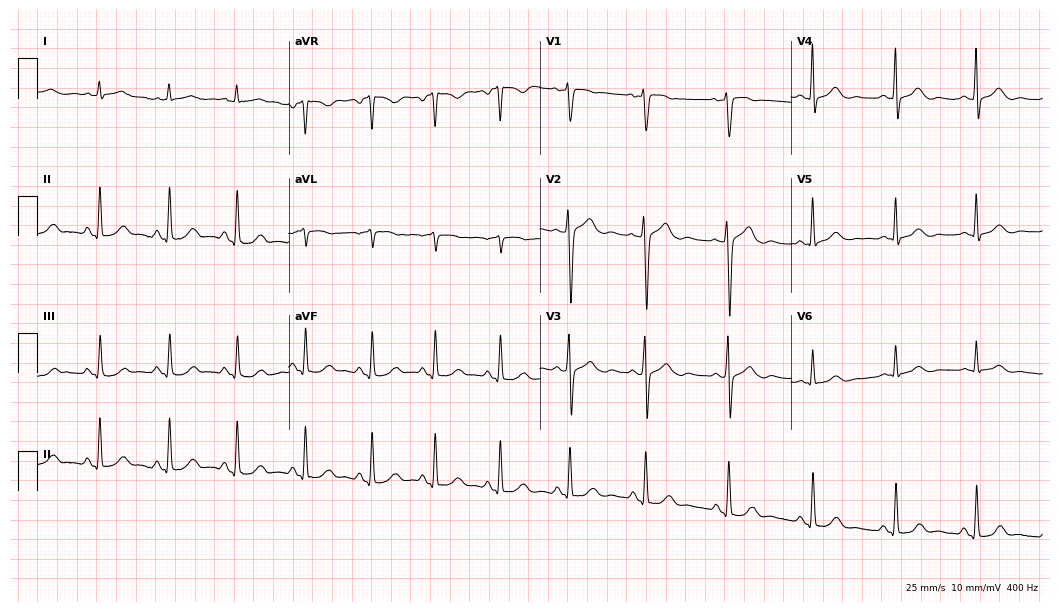
12-lead ECG from a 48-year-old male patient (10.2-second recording at 400 Hz). Recorded interpretation: within normal limits.